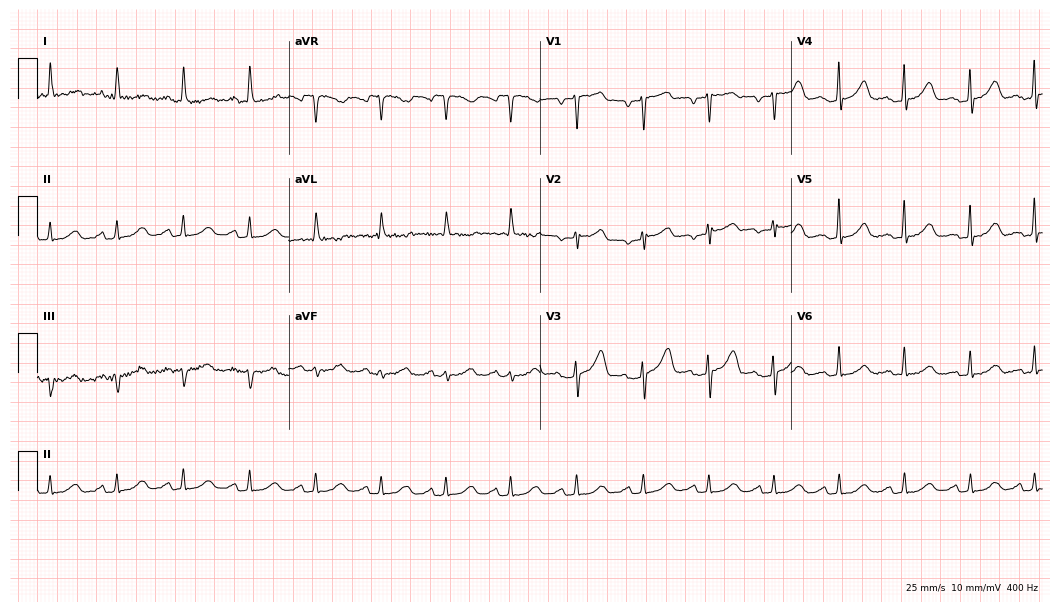
Standard 12-lead ECG recorded from a female, 58 years old (10.2-second recording at 400 Hz). None of these six findings is recorded: first-degree AV block, right bundle branch block, left bundle branch block, sinus bradycardia, atrial fibrillation, sinus tachycardia.